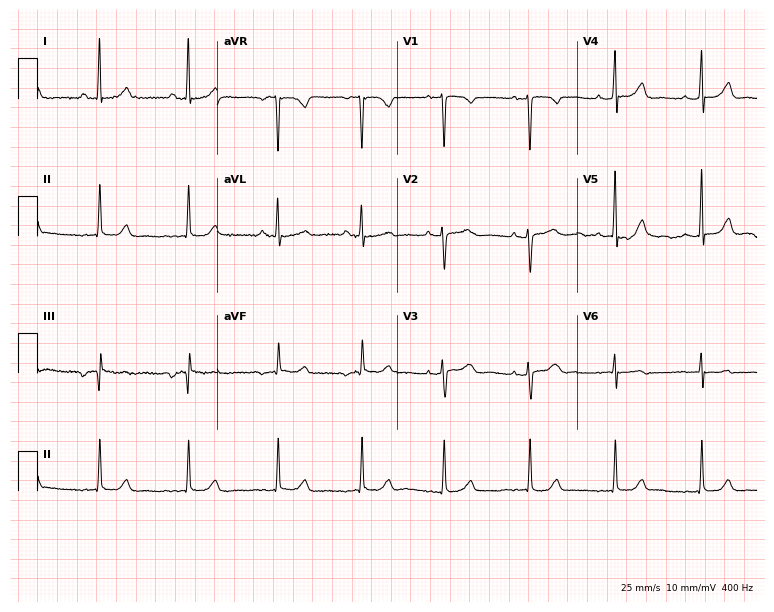
12-lead ECG from a 47-year-old female patient (7.3-second recording at 400 Hz). Recorded interpretation: within normal limits.